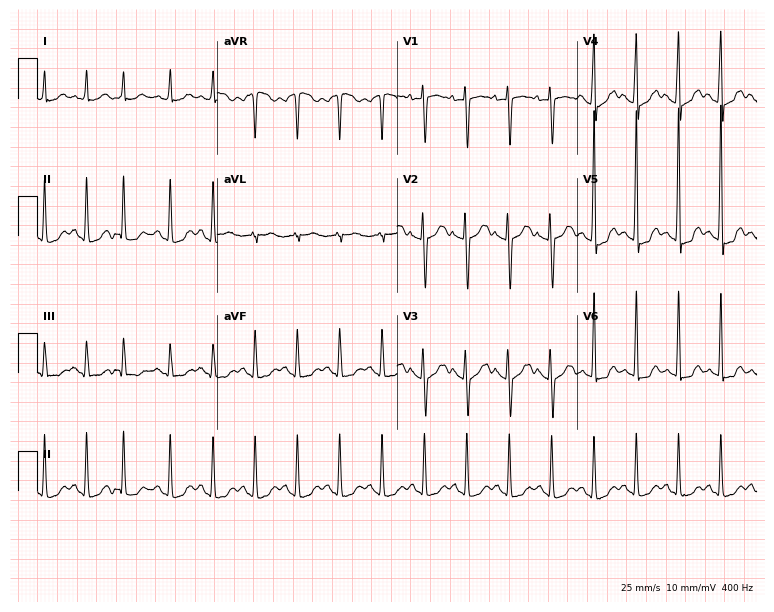
12-lead ECG from a 61-year-old woman. Findings include sinus tachycardia (a sinus rate of 100 beats per minute or more).